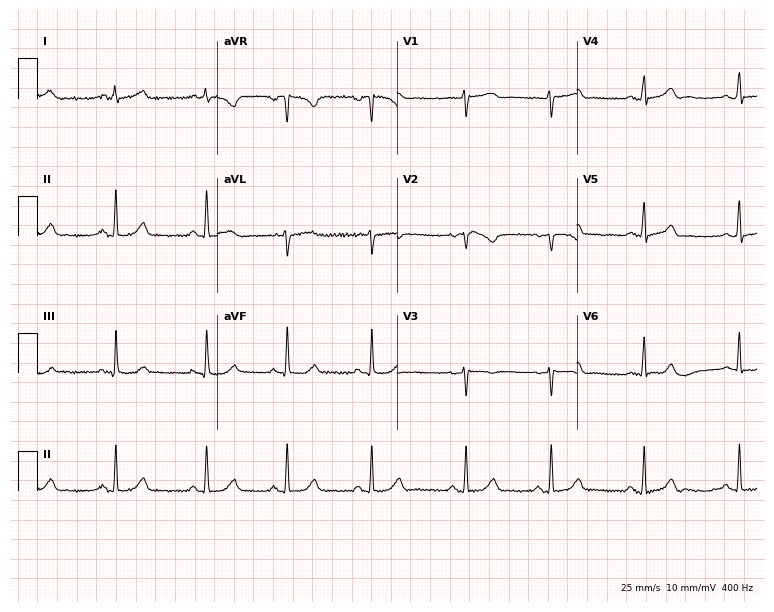
Standard 12-lead ECG recorded from a woman, 21 years old (7.3-second recording at 400 Hz). None of these six findings is recorded: first-degree AV block, right bundle branch block (RBBB), left bundle branch block (LBBB), sinus bradycardia, atrial fibrillation (AF), sinus tachycardia.